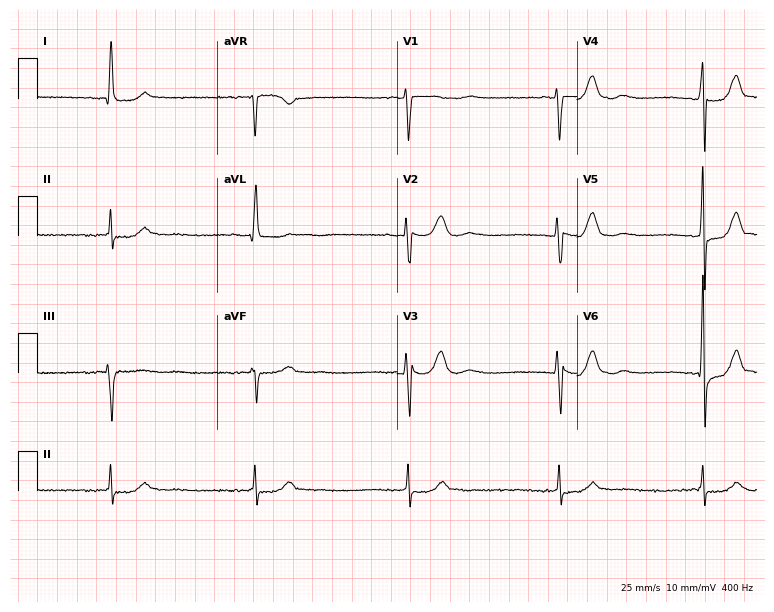
Electrocardiogram, a female, 68 years old. Of the six screened findings (first-degree AV block, right bundle branch block (RBBB), left bundle branch block (LBBB), sinus bradycardia, atrial fibrillation (AF), sinus tachycardia), none is recorded.